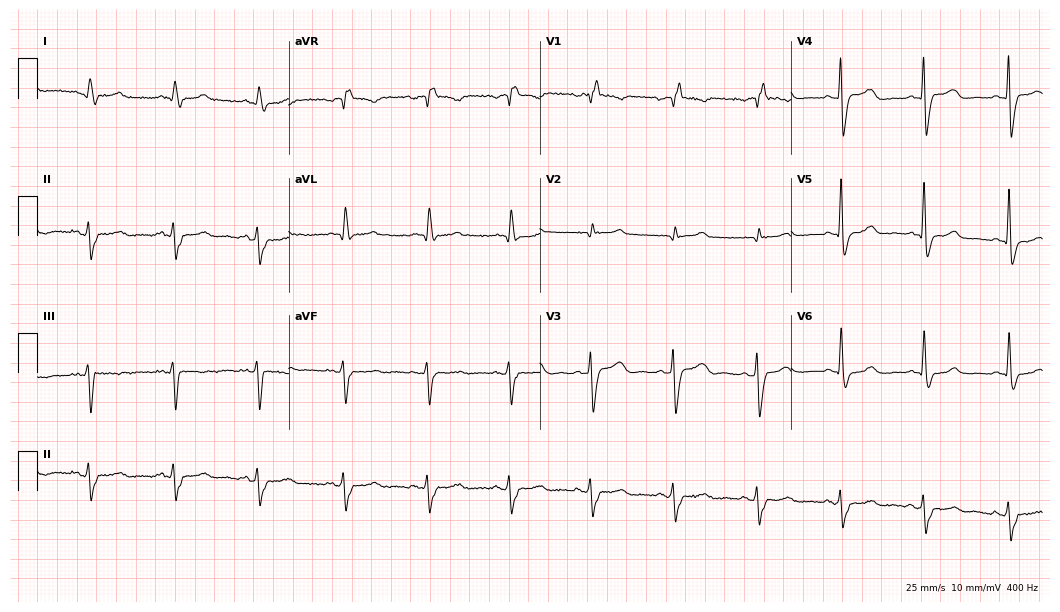
ECG (10.2-second recording at 400 Hz) — a male, 71 years old. Findings include right bundle branch block (RBBB).